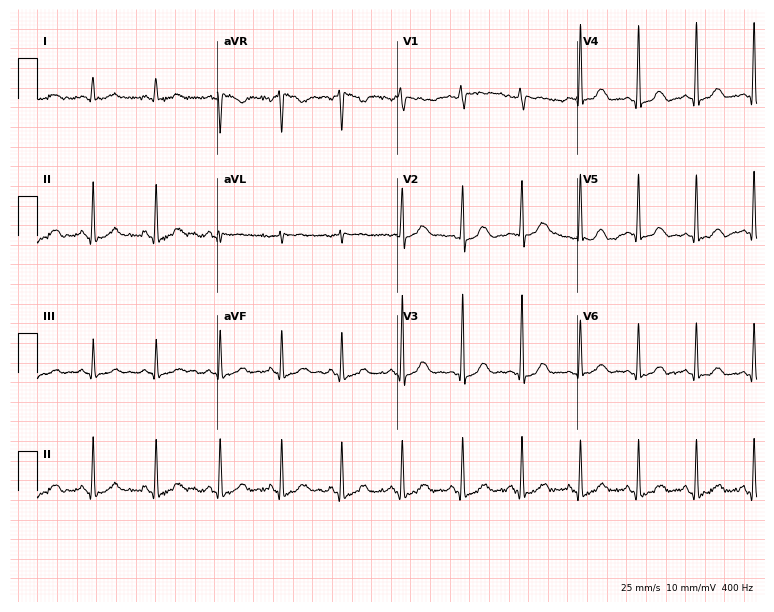
Electrocardiogram (7.3-second recording at 400 Hz), a 34-year-old female. Overall reading on record: normal ECG.